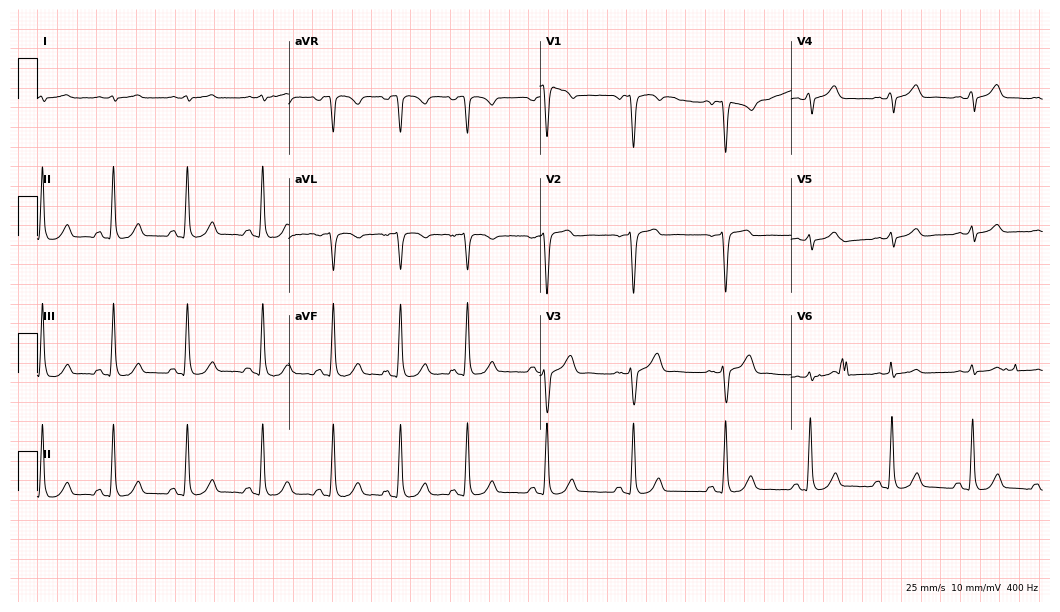
Electrocardiogram, a male, 42 years old. Of the six screened findings (first-degree AV block, right bundle branch block, left bundle branch block, sinus bradycardia, atrial fibrillation, sinus tachycardia), none is recorded.